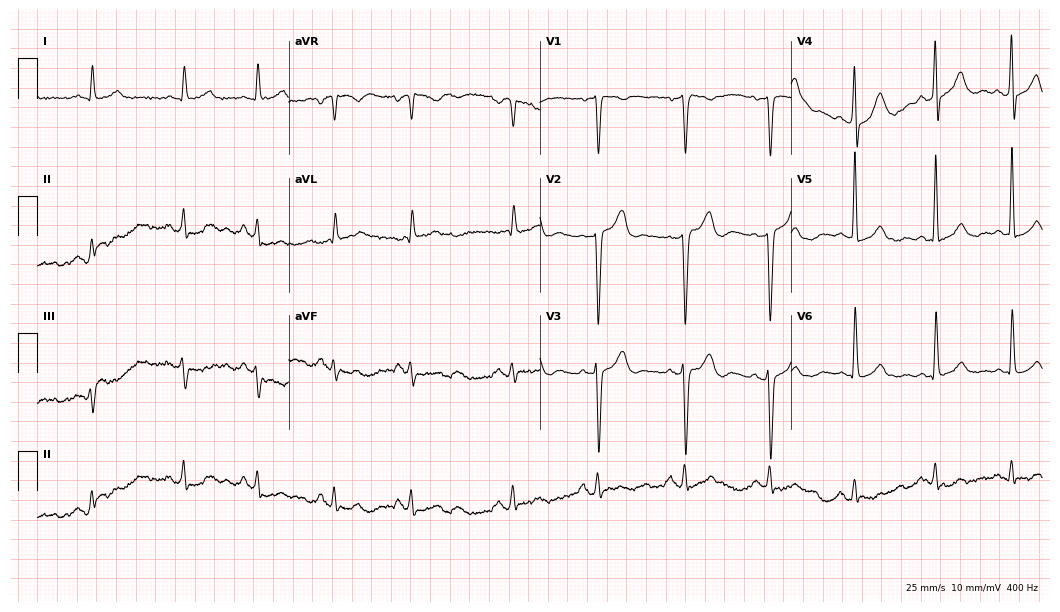
Electrocardiogram, a 68-year-old male. Overall reading on record: normal ECG.